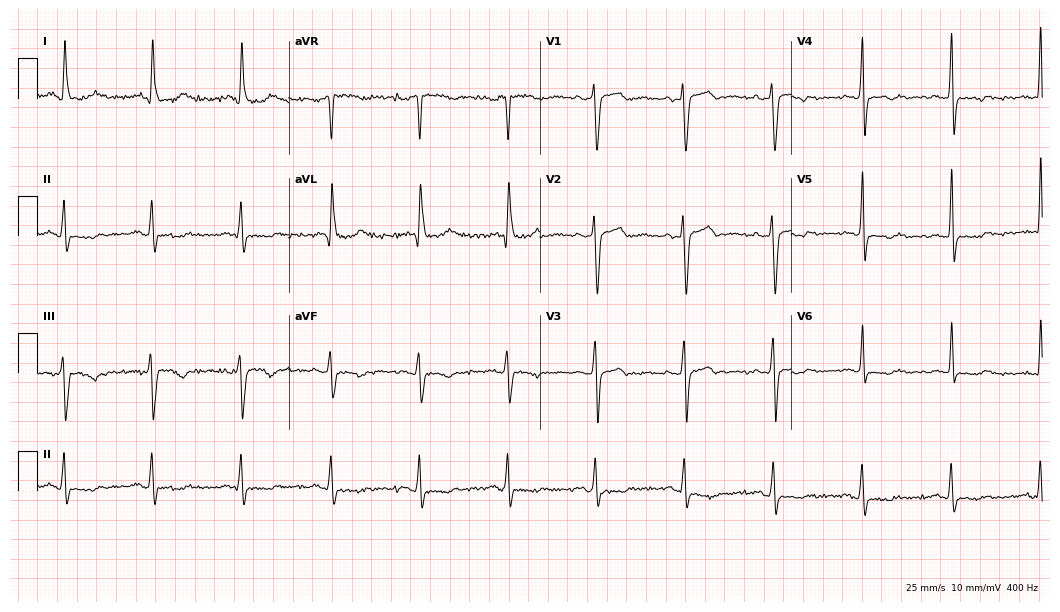
Electrocardiogram (10.2-second recording at 400 Hz), a 58-year-old female. Of the six screened findings (first-degree AV block, right bundle branch block (RBBB), left bundle branch block (LBBB), sinus bradycardia, atrial fibrillation (AF), sinus tachycardia), none is recorded. Other findings, if any, are not listed.